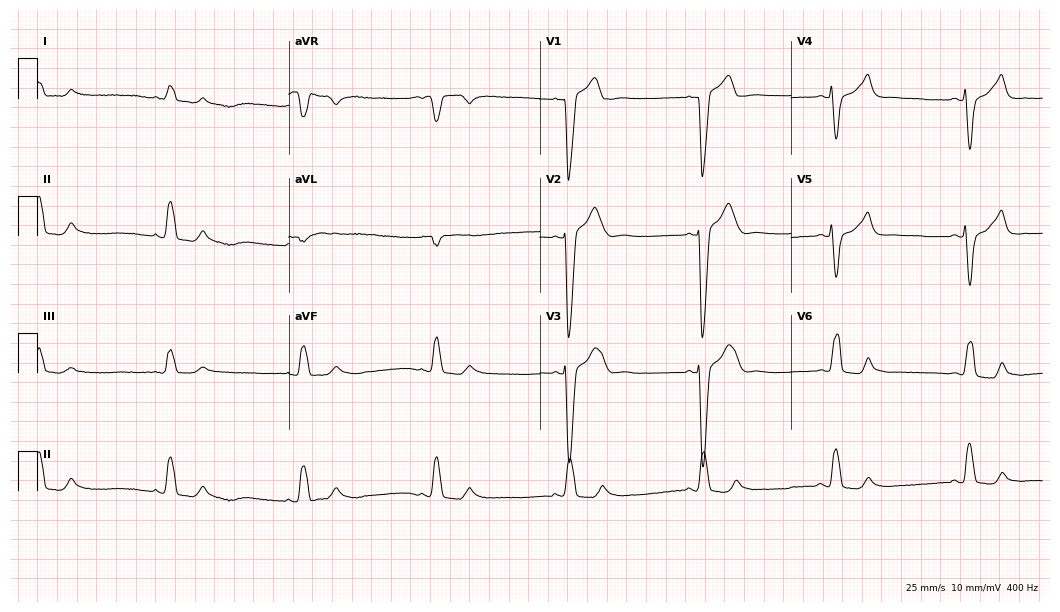
Standard 12-lead ECG recorded from a 69-year-old male patient (10.2-second recording at 400 Hz). The tracing shows left bundle branch block, sinus bradycardia (a sinus rate of 50 beats per minute or less).